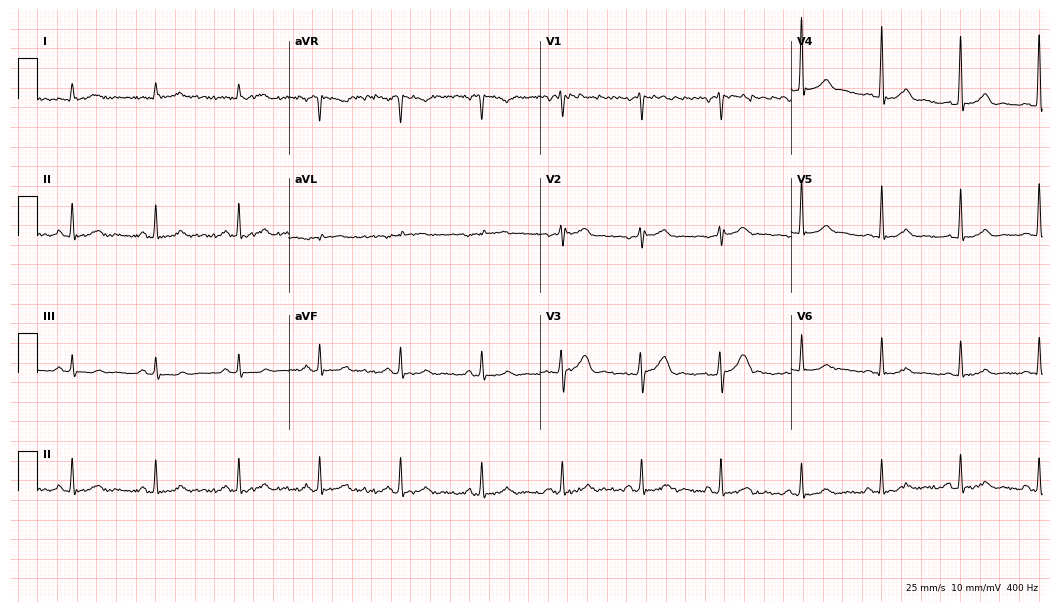
Standard 12-lead ECG recorded from a 35-year-old male patient. Read as a normal ECG.